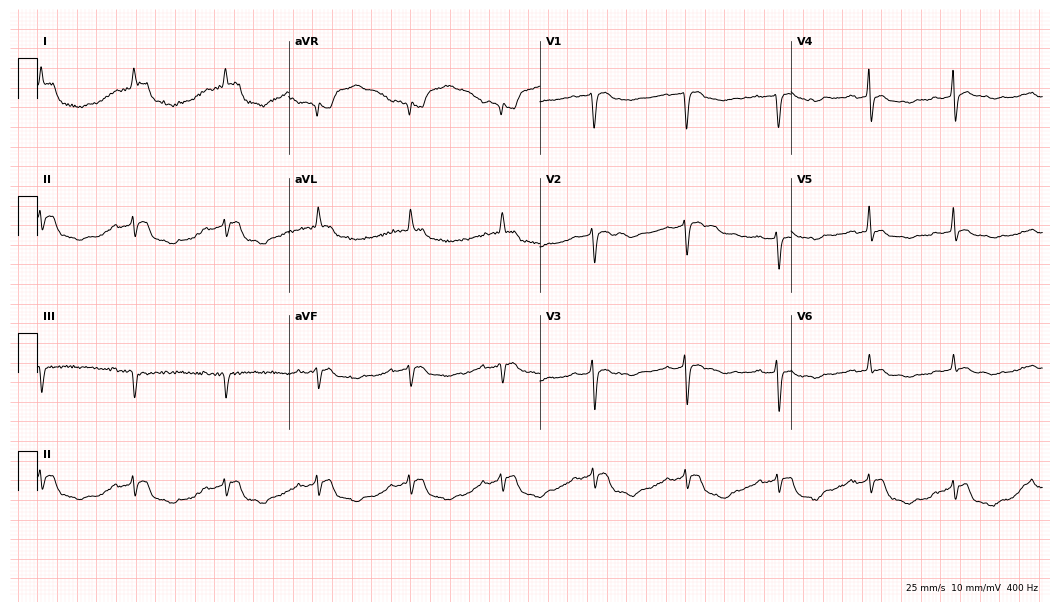
12-lead ECG from an 85-year-old male patient. No first-degree AV block, right bundle branch block, left bundle branch block, sinus bradycardia, atrial fibrillation or sinus tachycardia recorded for this tracing.